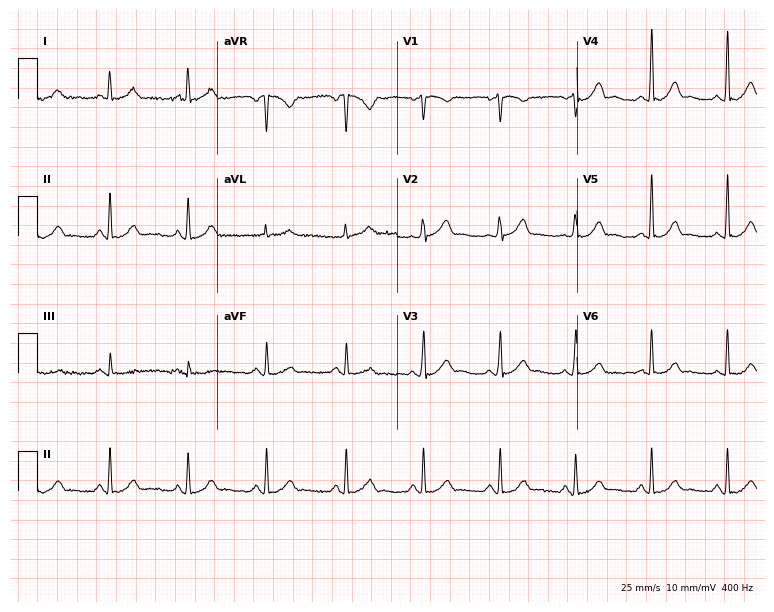
Standard 12-lead ECG recorded from a female patient, 40 years old (7.3-second recording at 400 Hz). Read as a normal ECG.